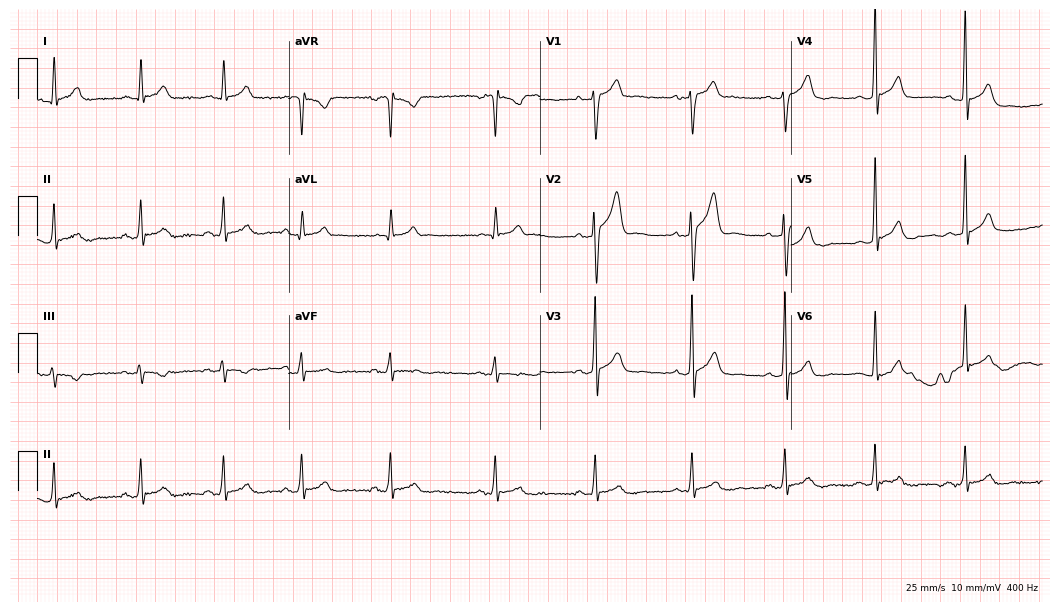
Resting 12-lead electrocardiogram. Patient: a male, 38 years old. Read as a normal ECG.